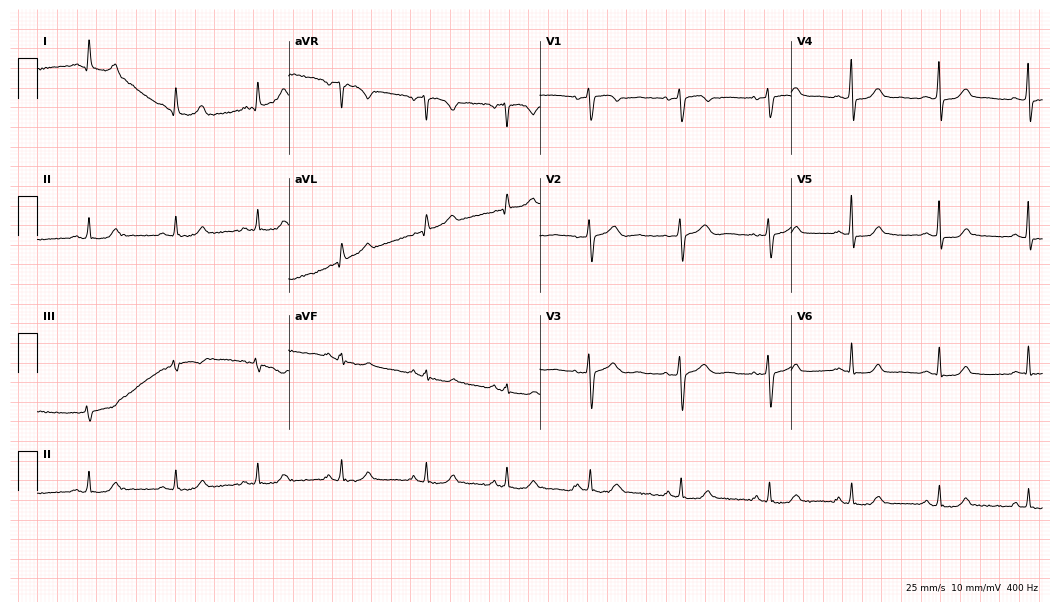
ECG (10.2-second recording at 400 Hz) — a female, 23 years old. Labelled as a normal ECG.